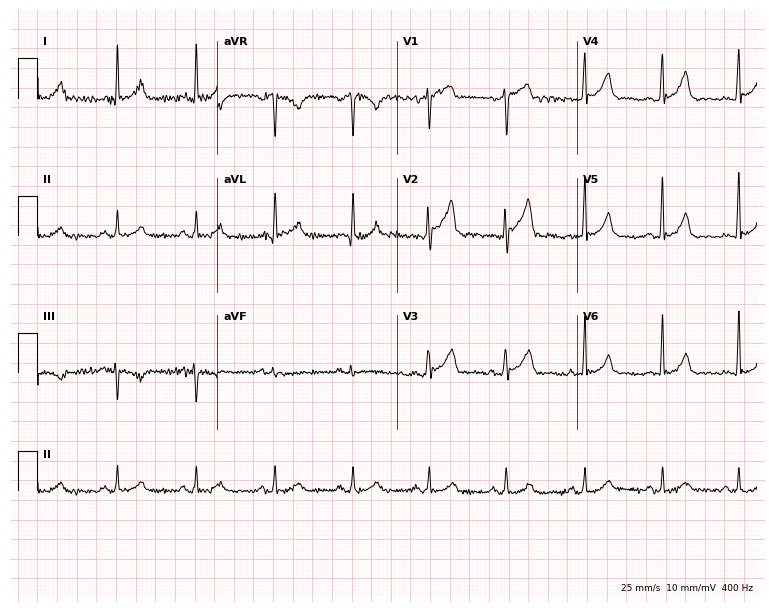
12-lead ECG from a male, 43 years old. Recorded interpretation: within normal limits.